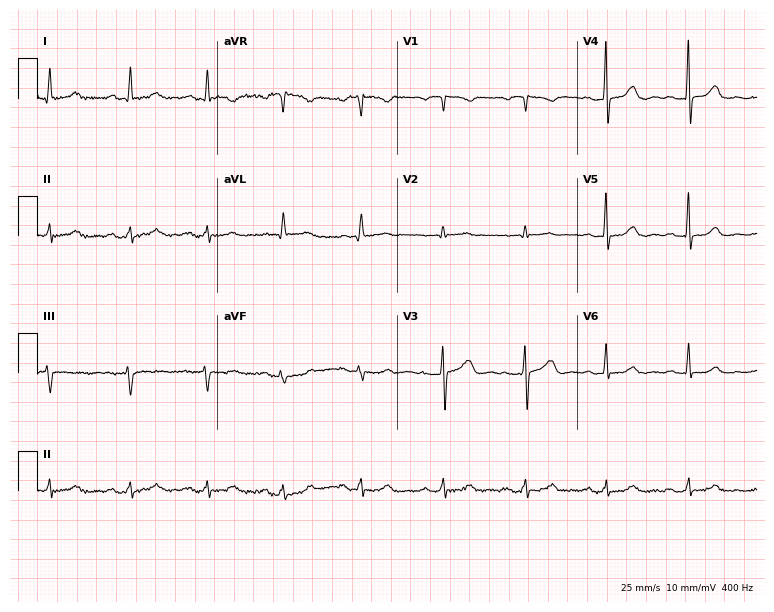
12-lead ECG from a 41-year-old woman. Labelled as a normal ECG.